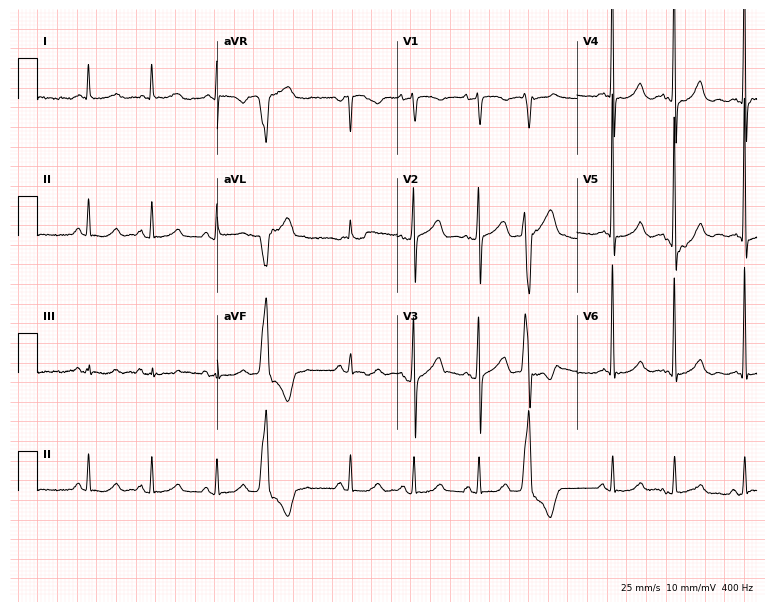
ECG — a female, 77 years old. Screened for six findings — first-degree AV block, right bundle branch block, left bundle branch block, sinus bradycardia, atrial fibrillation, sinus tachycardia — none is recorded.